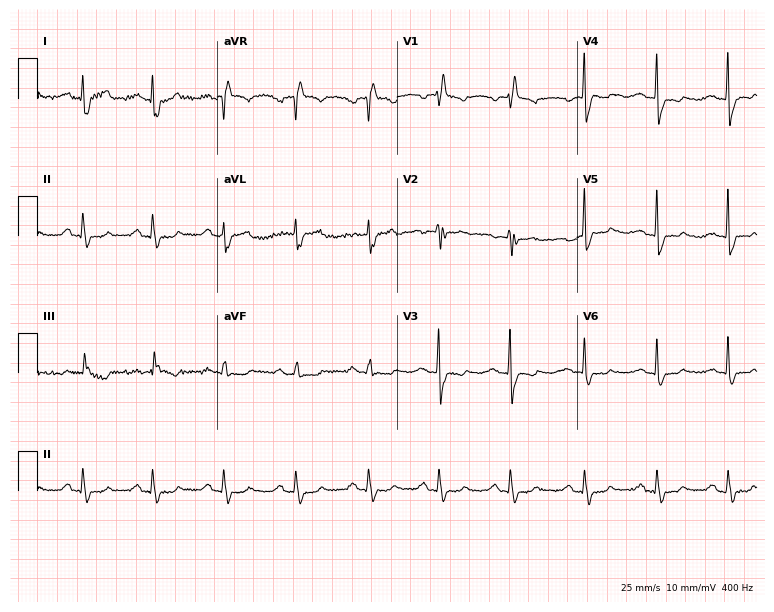
12-lead ECG from a 64-year-old woman (7.3-second recording at 400 Hz). Shows right bundle branch block.